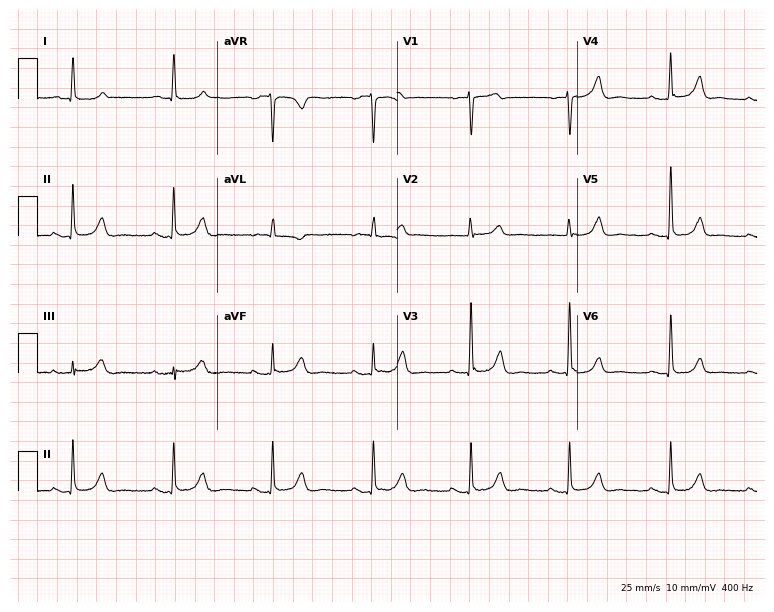
12-lead ECG from a female, 81 years old (7.3-second recording at 400 Hz). No first-degree AV block, right bundle branch block, left bundle branch block, sinus bradycardia, atrial fibrillation or sinus tachycardia recorded for this tracing. Only these six findings were labelled.